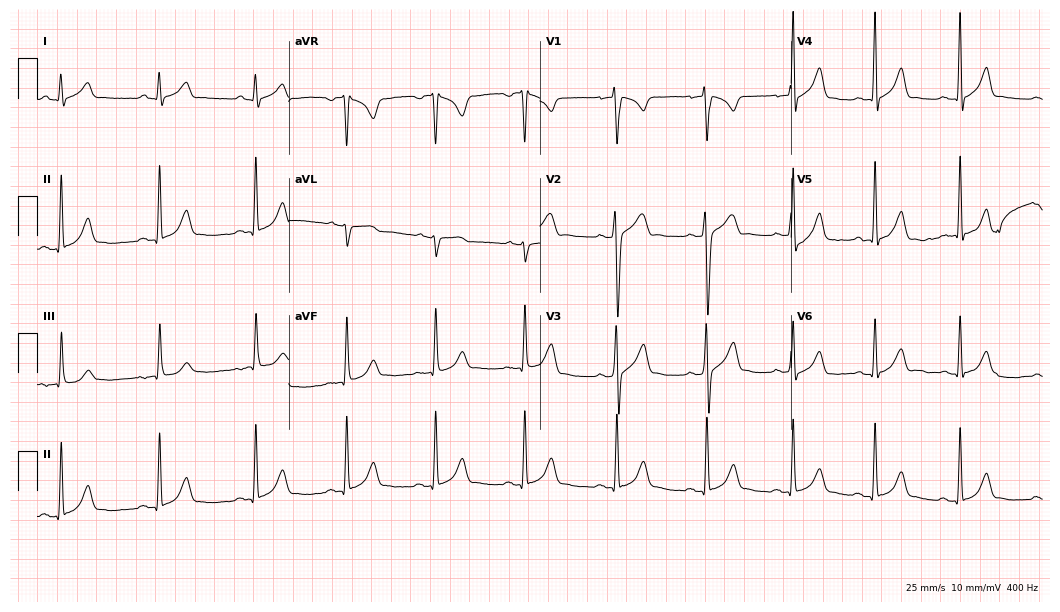
12-lead ECG from a male, 17 years old (10.2-second recording at 400 Hz). Recorded interpretation: within normal limits.